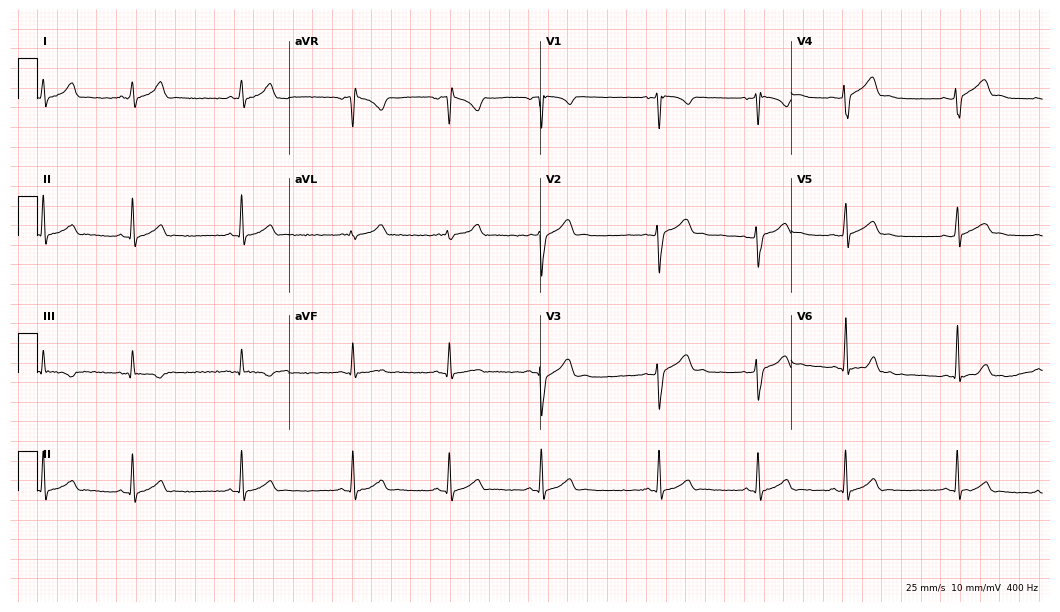
12-lead ECG from a male, 21 years old. Labelled as a normal ECG.